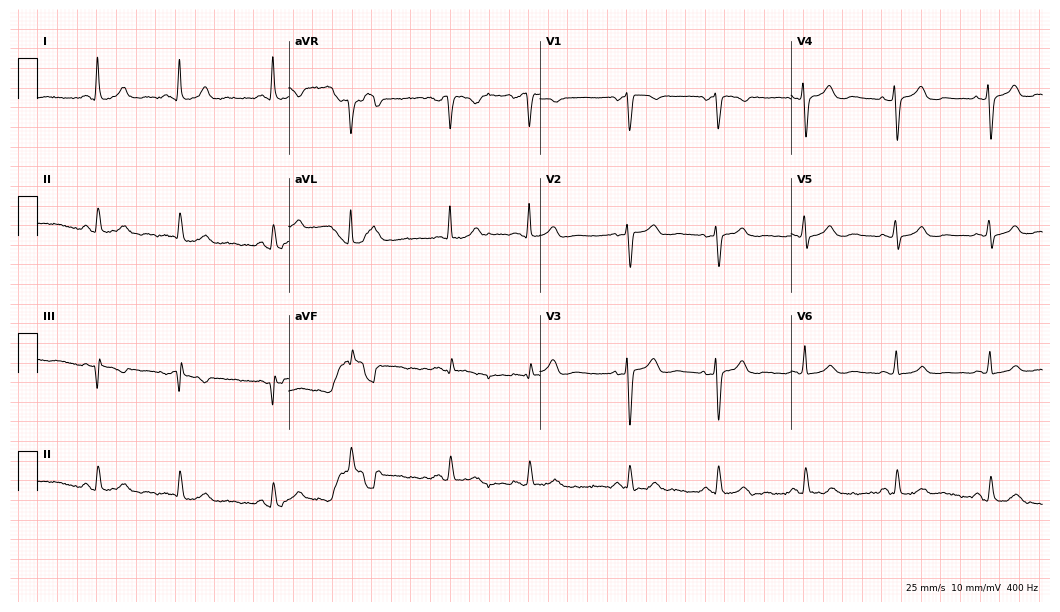
Standard 12-lead ECG recorded from a female patient, 74 years old. None of these six findings is recorded: first-degree AV block, right bundle branch block, left bundle branch block, sinus bradycardia, atrial fibrillation, sinus tachycardia.